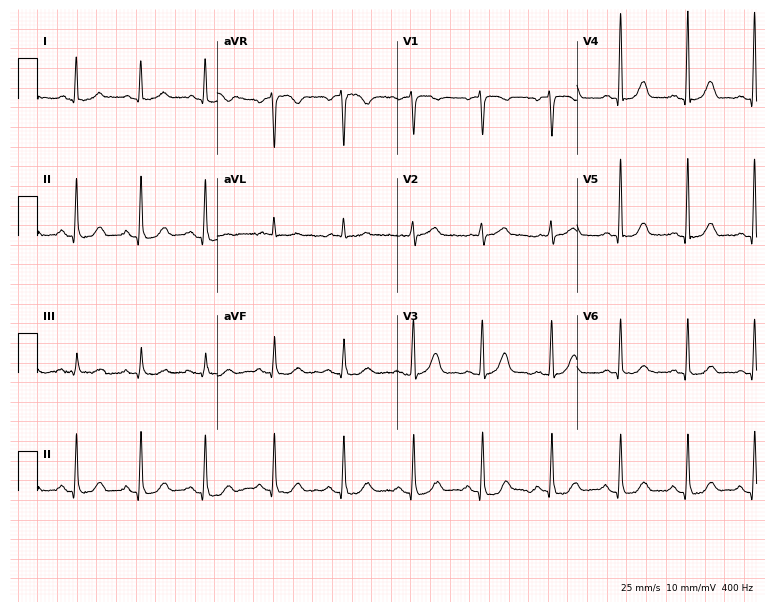
Electrocardiogram, a 67-year-old woman. Overall reading on record: normal ECG.